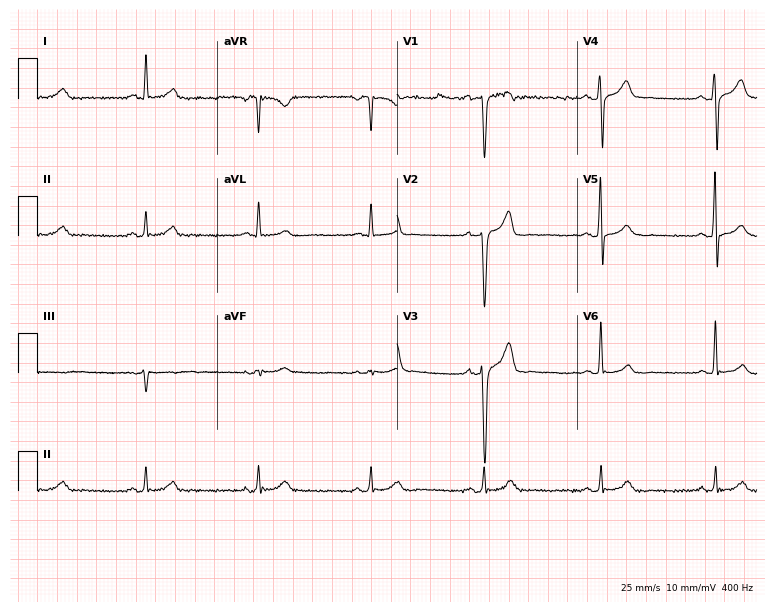
12-lead ECG from a 44-year-old male. Screened for six findings — first-degree AV block, right bundle branch block, left bundle branch block, sinus bradycardia, atrial fibrillation, sinus tachycardia — none is recorded. Only these six findings were labelled.